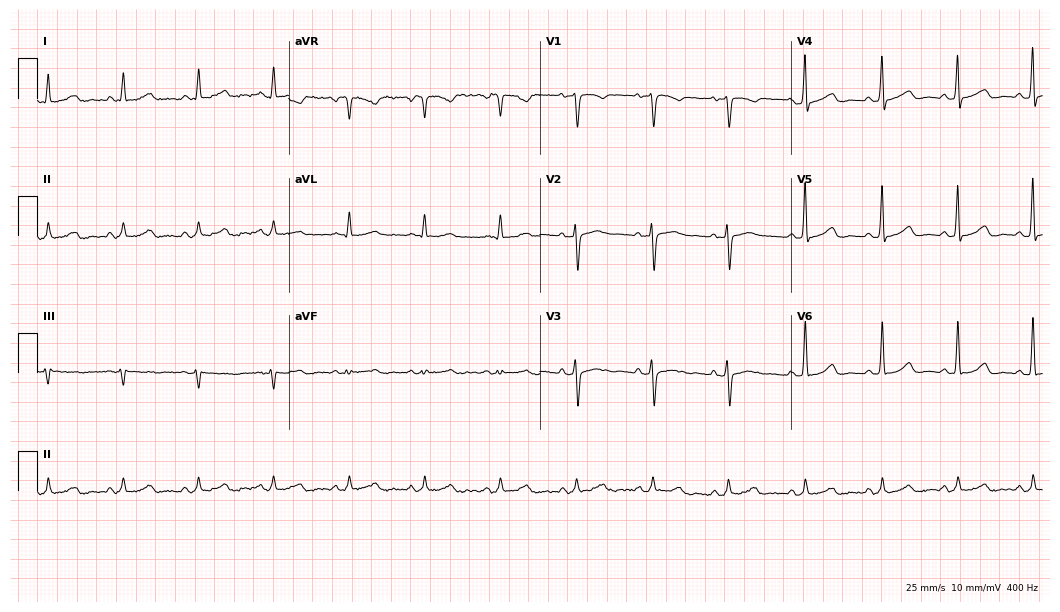
ECG — a female, 53 years old. Labelled as a normal ECG.